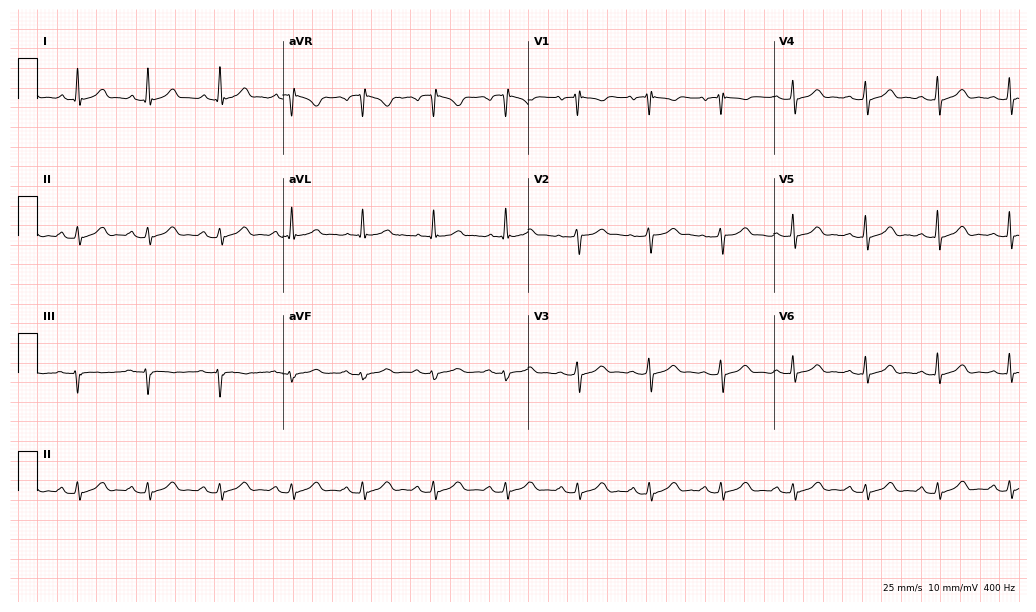
12-lead ECG from a 64-year-old female (10-second recording at 400 Hz). No first-degree AV block, right bundle branch block, left bundle branch block, sinus bradycardia, atrial fibrillation or sinus tachycardia recorded for this tracing.